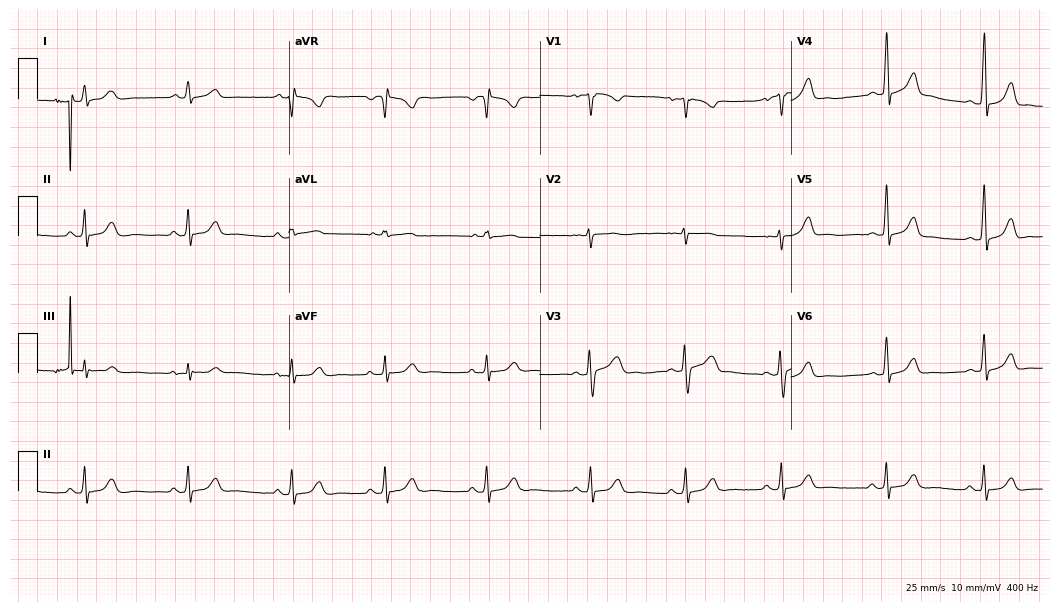
Standard 12-lead ECG recorded from a female patient, 23 years old (10.2-second recording at 400 Hz). Read as a normal ECG.